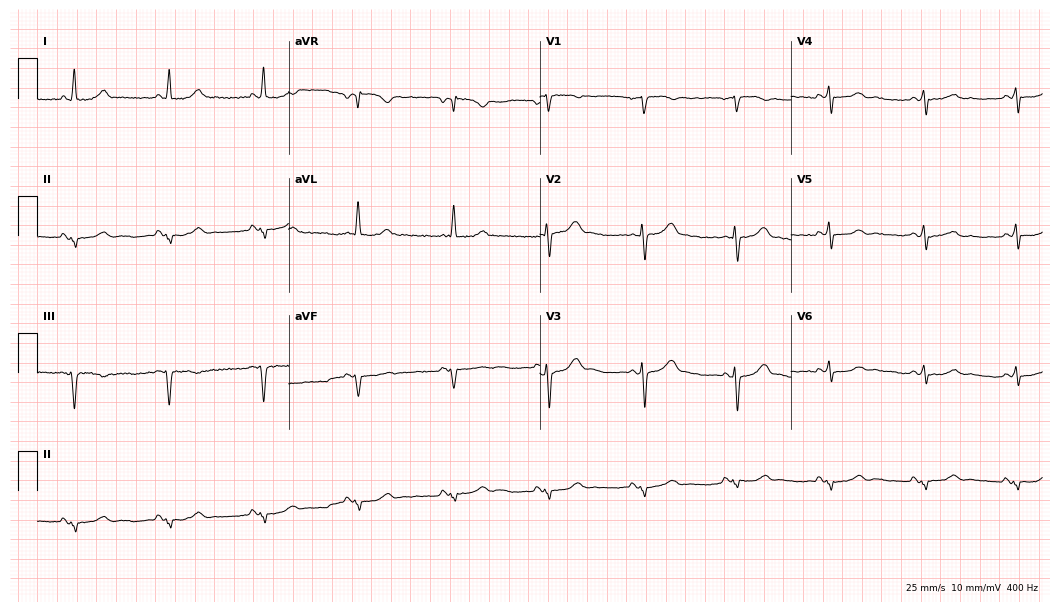
12-lead ECG from a 61-year-old female patient (10.2-second recording at 400 Hz). No first-degree AV block, right bundle branch block, left bundle branch block, sinus bradycardia, atrial fibrillation or sinus tachycardia recorded for this tracing. Other findings, if any, are not listed.